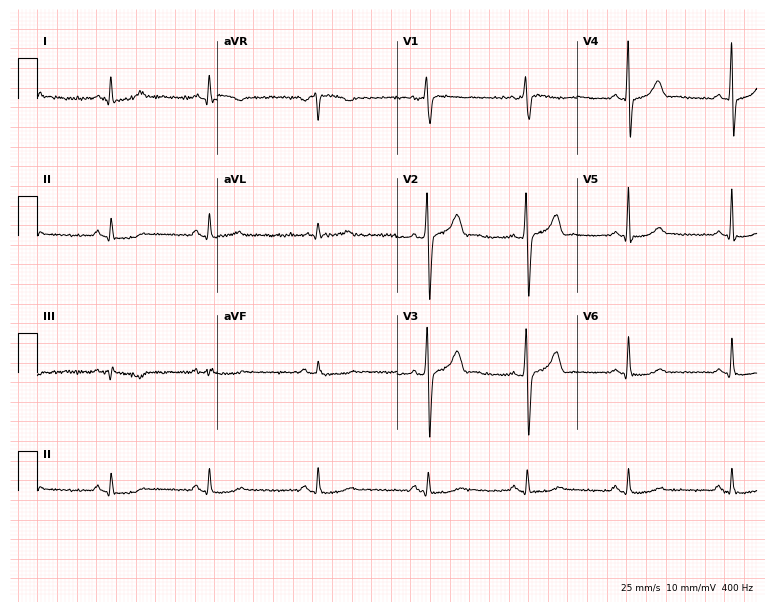
Electrocardiogram (7.3-second recording at 400 Hz), a 39-year-old male patient. Overall reading on record: normal ECG.